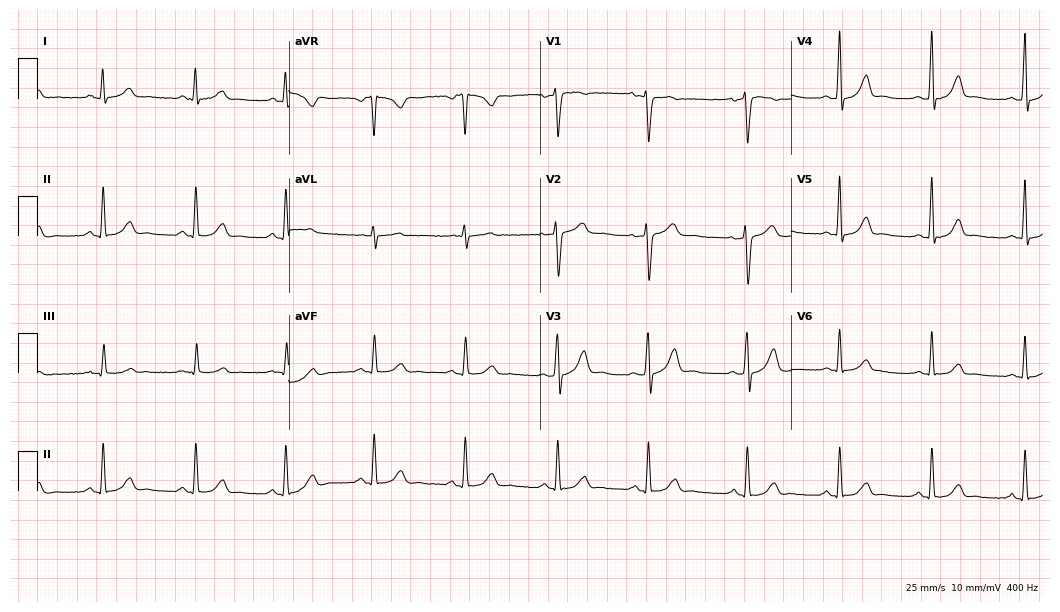
12-lead ECG (10.2-second recording at 400 Hz) from a woman, 33 years old. Screened for six findings — first-degree AV block, right bundle branch block, left bundle branch block, sinus bradycardia, atrial fibrillation, sinus tachycardia — none is recorded.